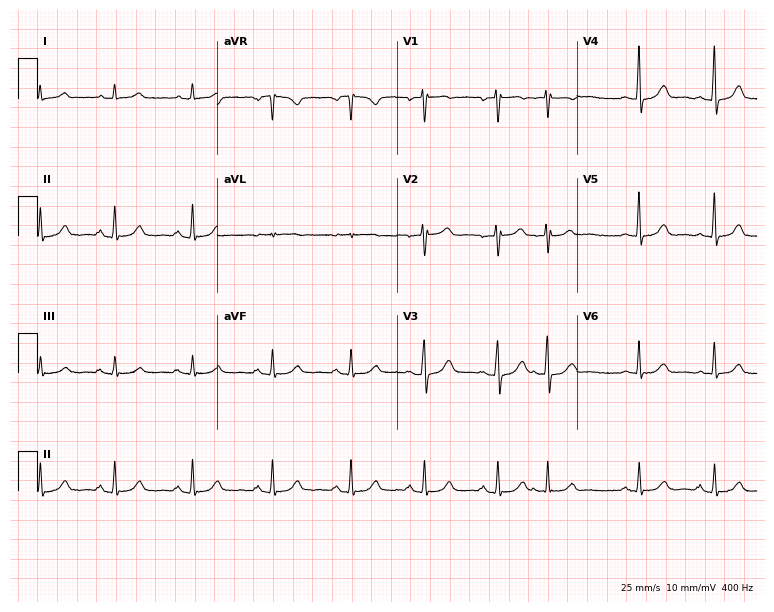
12-lead ECG from a female patient, 54 years old. Screened for six findings — first-degree AV block, right bundle branch block, left bundle branch block, sinus bradycardia, atrial fibrillation, sinus tachycardia — none is recorded. Findings outside these six are not listed.